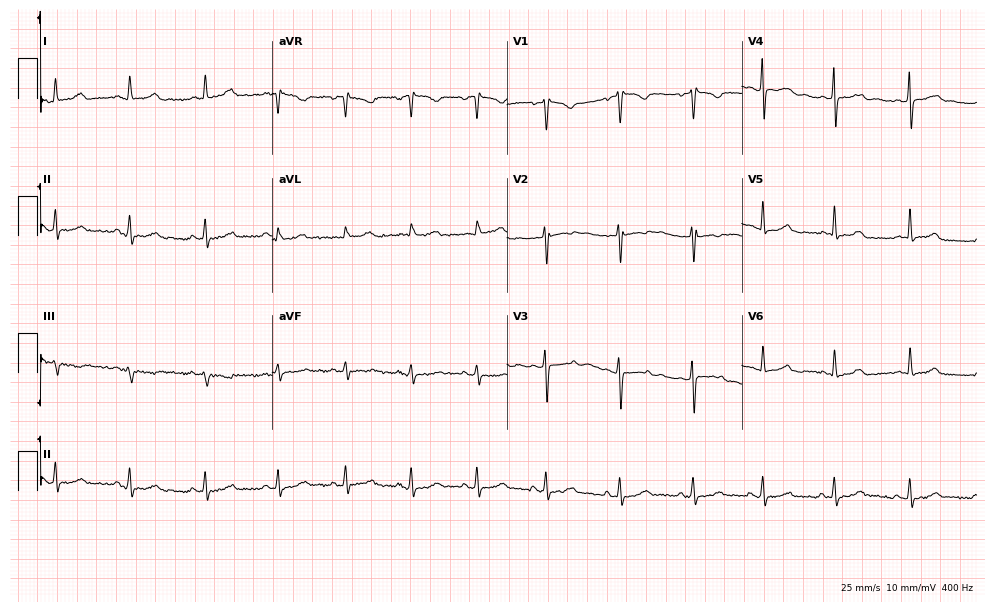
12-lead ECG from a female, 37 years old (9.6-second recording at 400 Hz). No first-degree AV block, right bundle branch block (RBBB), left bundle branch block (LBBB), sinus bradycardia, atrial fibrillation (AF) or sinus tachycardia recorded for this tracing.